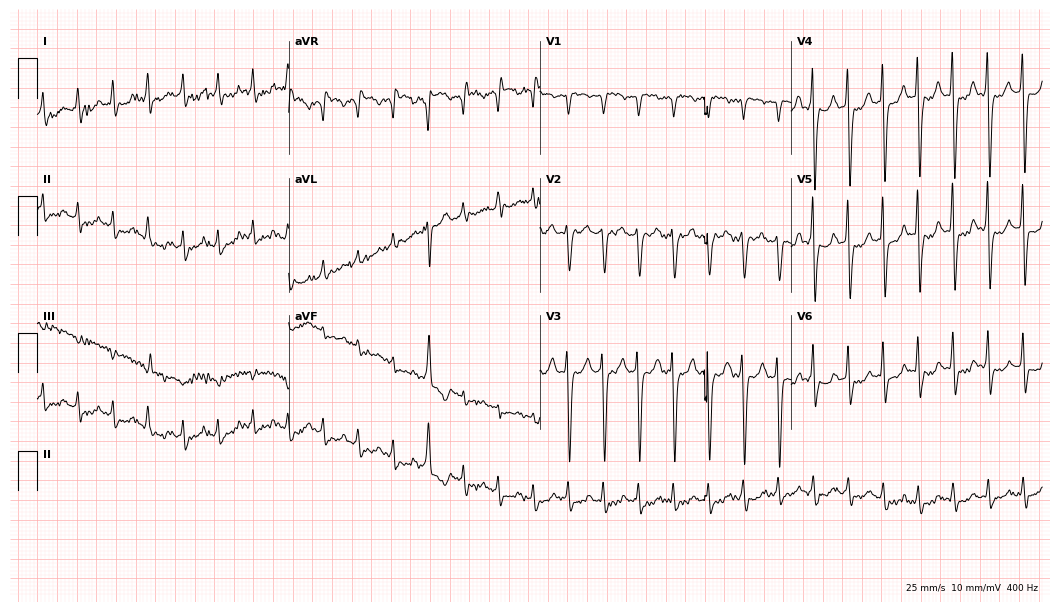
12-lead ECG from a female, 63 years old (10.2-second recording at 400 Hz). No first-degree AV block, right bundle branch block, left bundle branch block, sinus bradycardia, atrial fibrillation or sinus tachycardia recorded for this tracing. Findings outside these six are not listed.